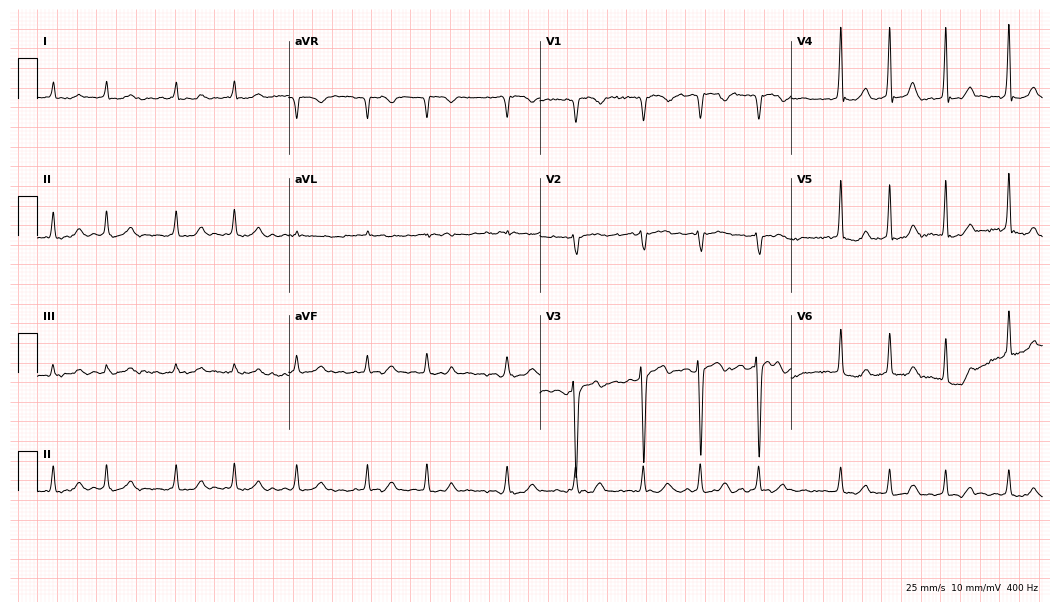
Resting 12-lead electrocardiogram. Patient: a 44-year-old male. The tracing shows atrial fibrillation.